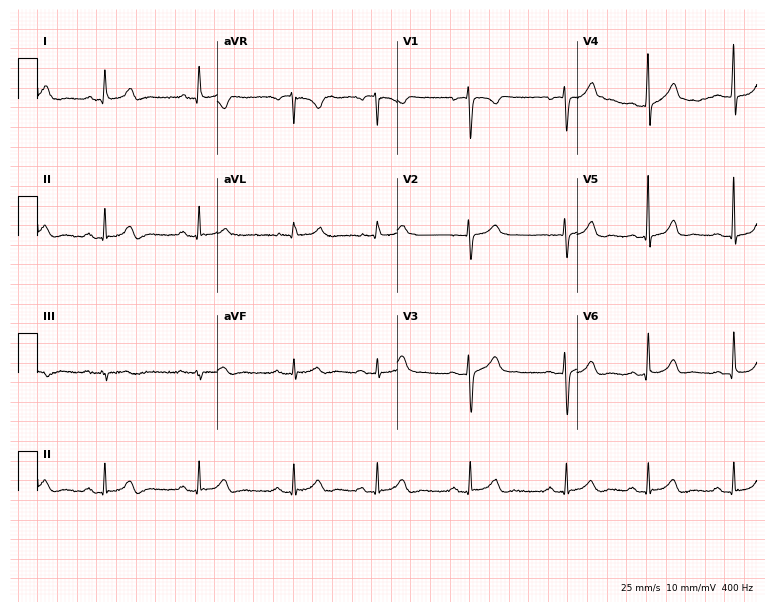
Standard 12-lead ECG recorded from a 31-year-old female. None of these six findings is recorded: first-degree AV block, right bundle branch block (RBBB), left bundle branch block (LBBB), sinus bradycardia, atrial fibrillation (AF), sinus tachycardia.